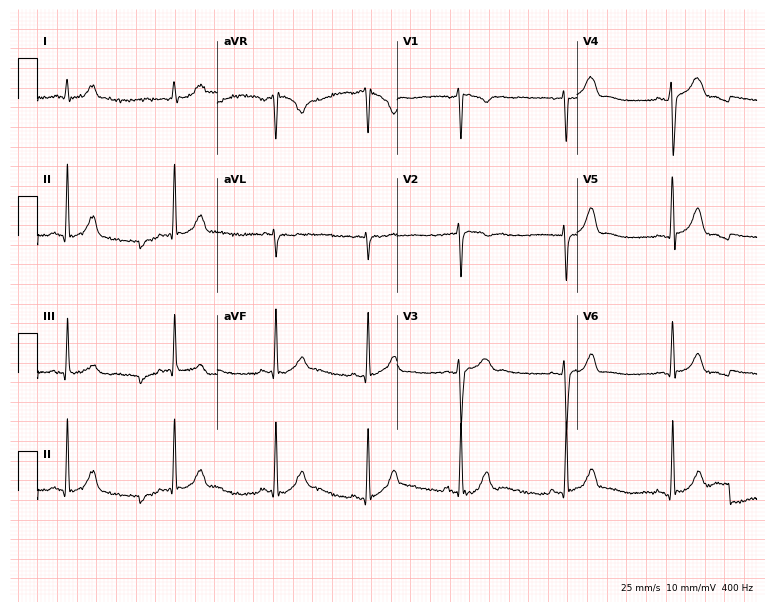
ECG (7.3-second recording at 400 Hz) — a female, 34 years old. Labelled as a normal ECG.